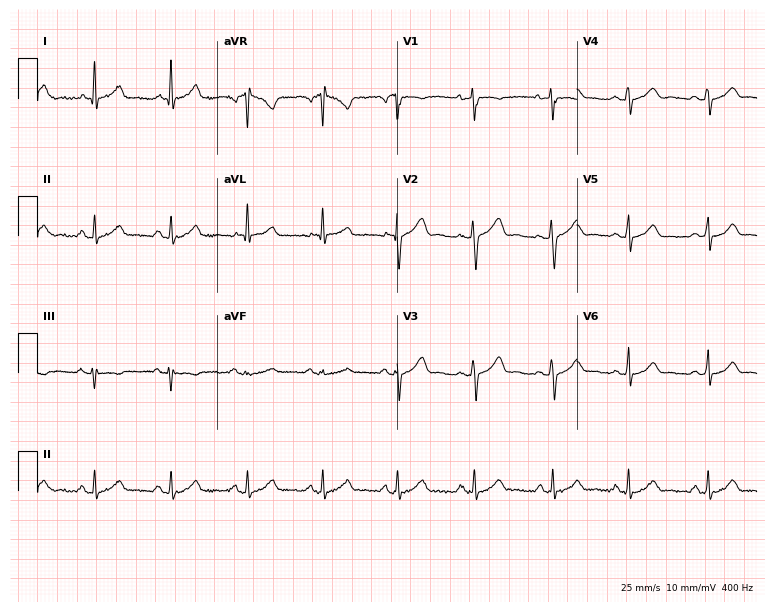
12-lead ECG (7.3-second recording at 400 Hz) from a 33-year-old female patient. Labelled as a normal ECG.